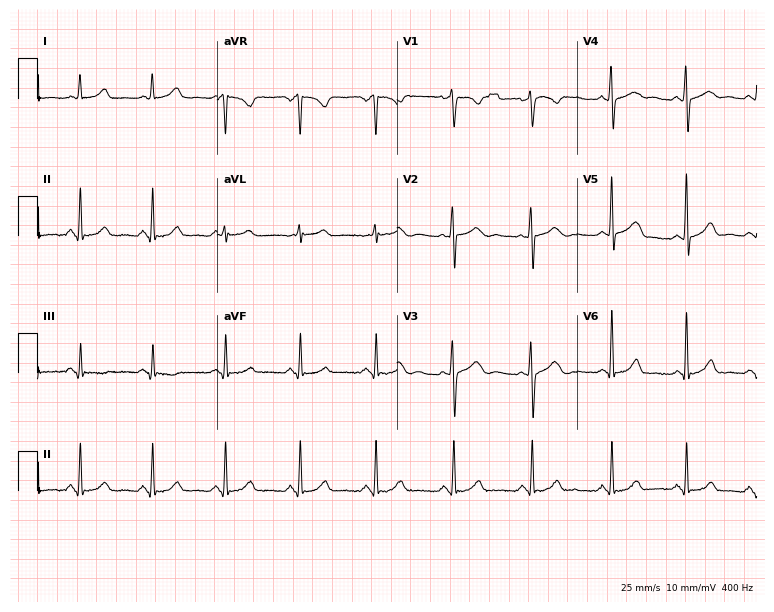
Resting 12-lead electrocardiogram (7.3-second recording at 400 Hz). Patient: a 27-year-old woman. Read as a normal ECG.